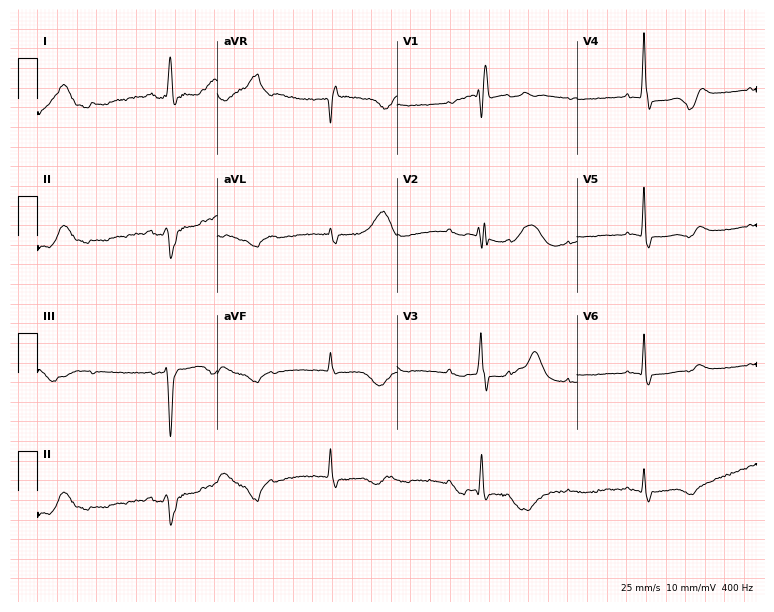
Resting 12-lead electrocardiogram. Patient: a female, 75 years old. None of these six findings is recorded: first-degree AV block, right bundle branch block, left bundle branch block, sinus bradycardia, atrial fibrillation, sinus tachycardia.